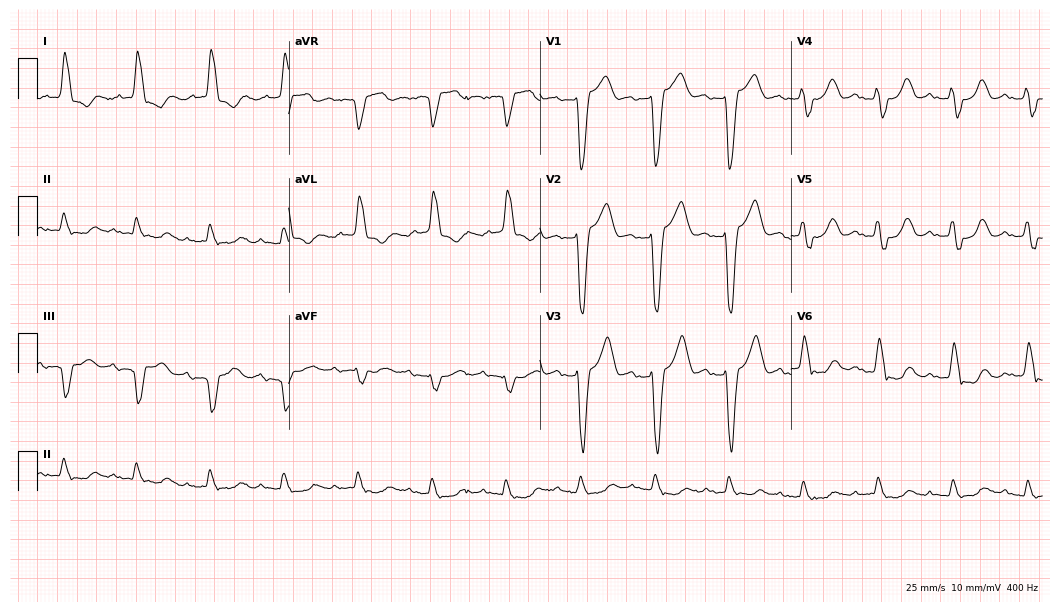
12-lead ECG from a man, 83 years old. Shows first-degree AV block, left bundle branch block (LBBB).